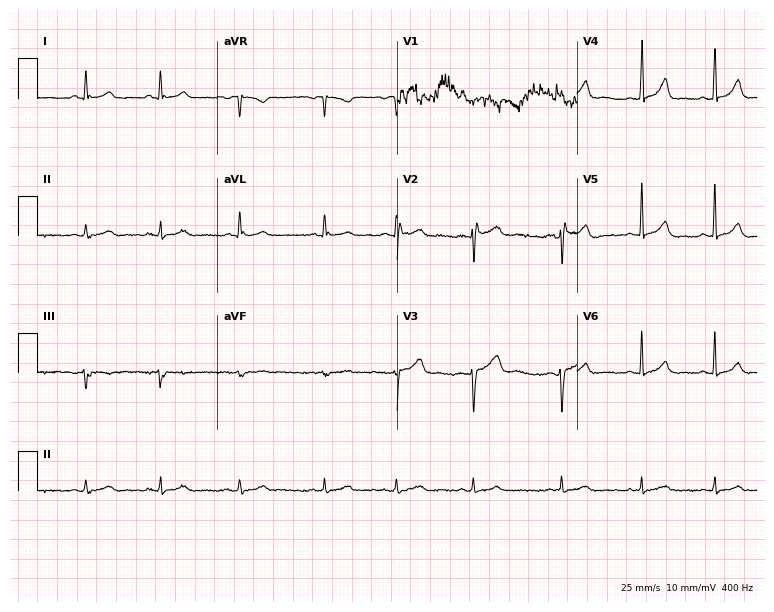
12-lead ECG (7.3-second recording at 400 Hz) from a female, 28 years old. Screened for six findings — first-degree AV block, right bundle branch block, left bundle branch block, sinus bradycardia, atrial fibrillation, sinus tachycardia — none is recorded.